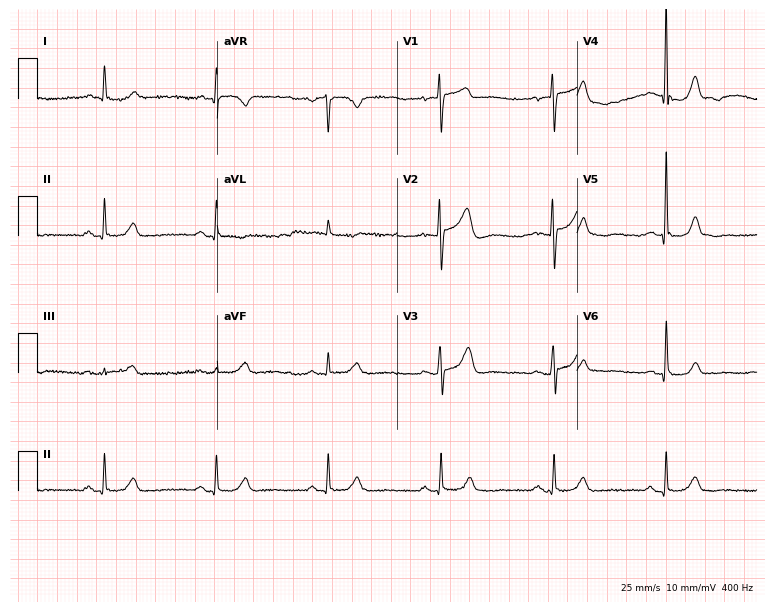
ECG (7.3-second recording at 400 Hz) — a 76-year-old female. Labelled as a normal ECG.